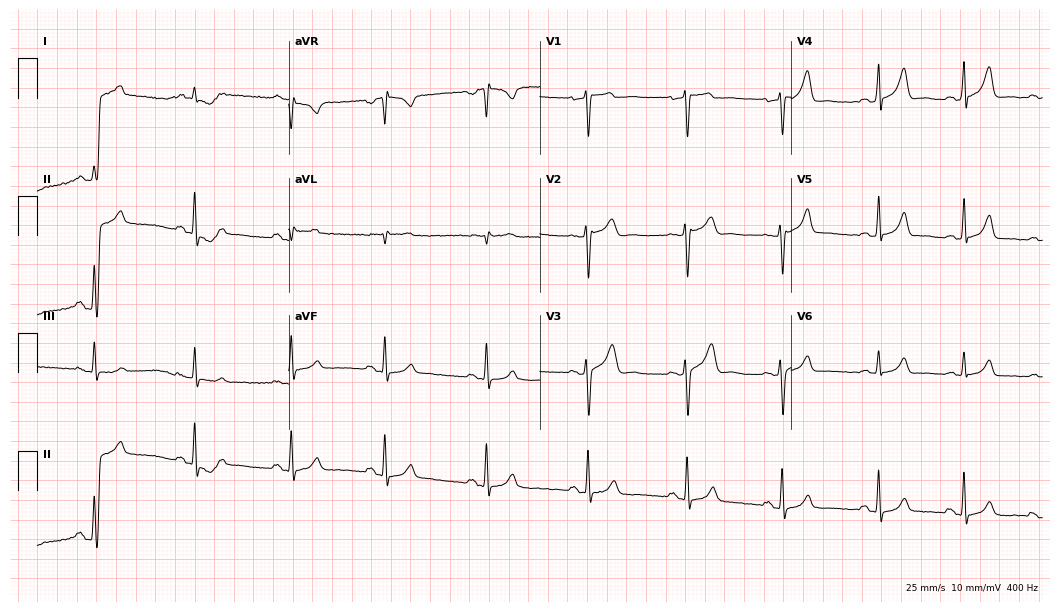
ECG (10.2-second recording at 400 Hz) — a 33-year-old man. Screened for six findings — first-degree AV block, right bundle branch block, left bundle branch block, sinus bradycardia, atrial fibrillation, sinus tachycardia — none is recorded. Other findings, if any, are not listed.